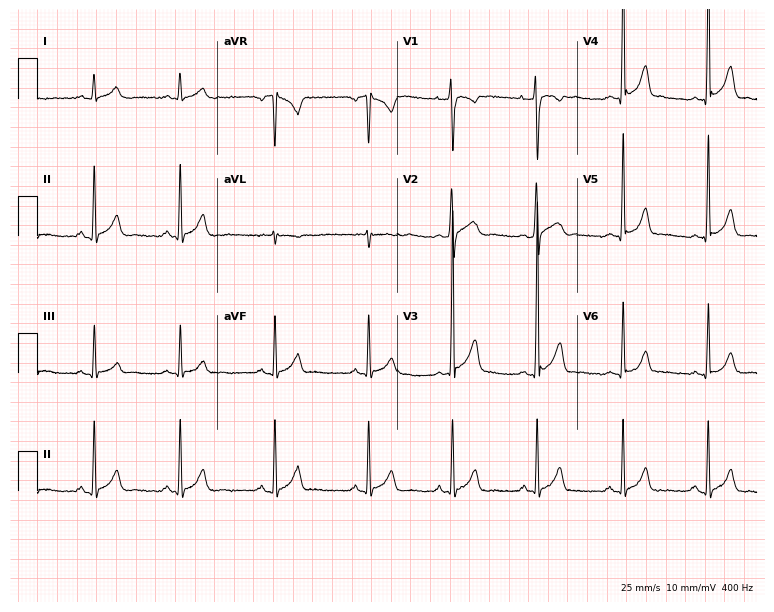
Resting 12-lead electrocardiogram. Patient: a 17-year-old male. Read as a normal ECG.